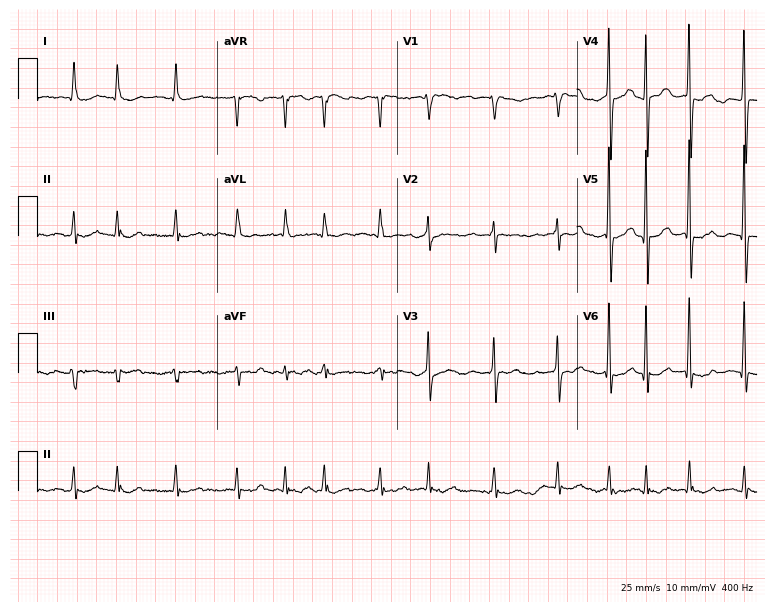
12-lead ECG (7.3-second recording at 400 Hz) from a 63-year-old female patient. Findings include atrial fibrillation (AF).